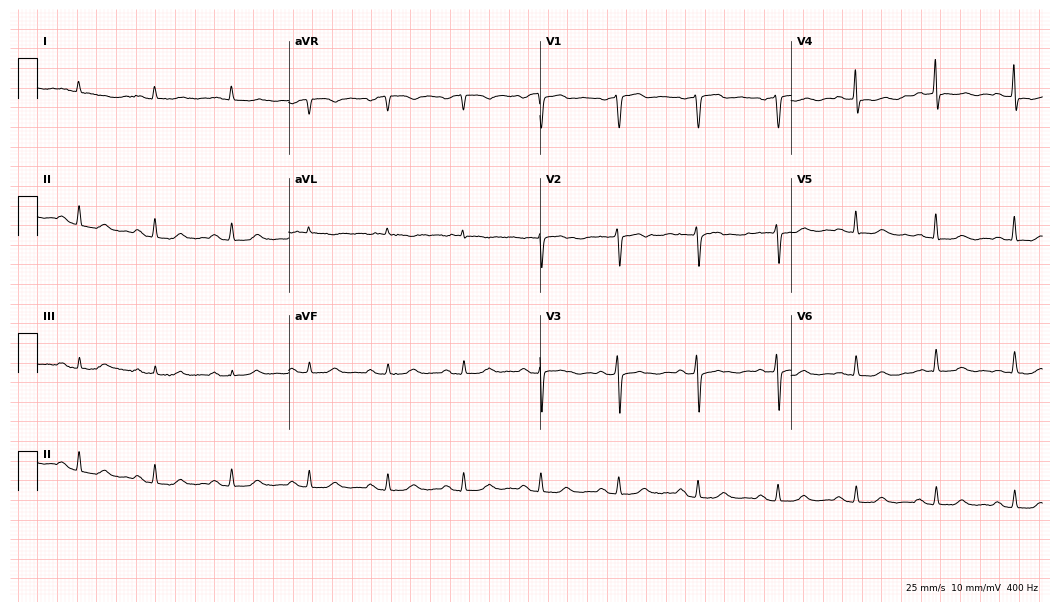
Electrocardiogram (10.2-second recording at 400 Hz), a 69-year-old male patient. Overall reading on record: normal ECG.